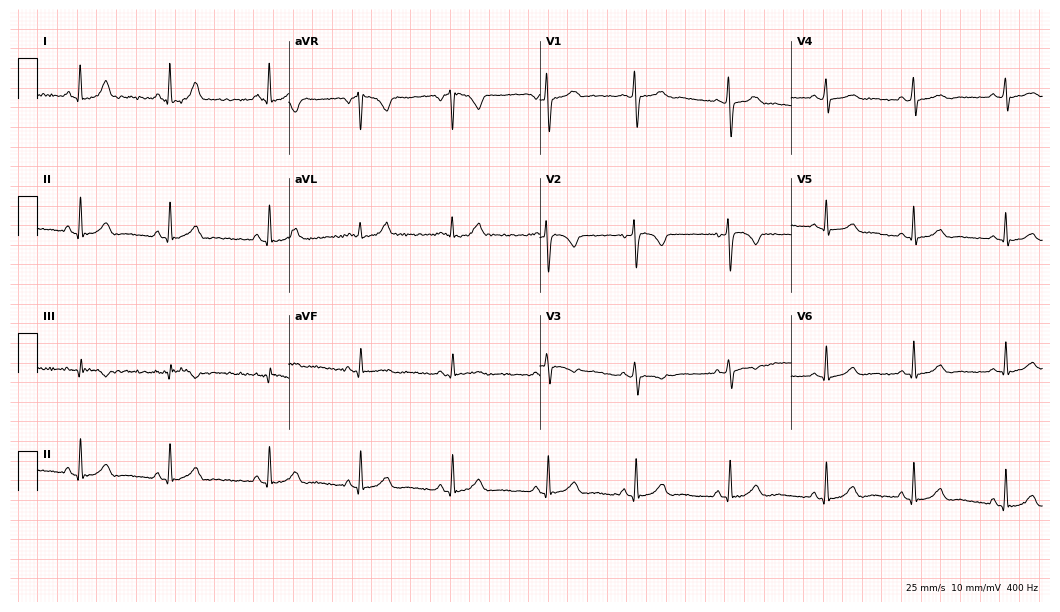
ECG (10.2-second recording at 400 Hz) — a 34-year-old female. Screened for six findings — first-degree AV block, right bundle branch block (RBBB), left bundle branch block (LBBB), sinus bradycardia, atrial fibrillation (AF), sinus tachycardia — none is recorded.